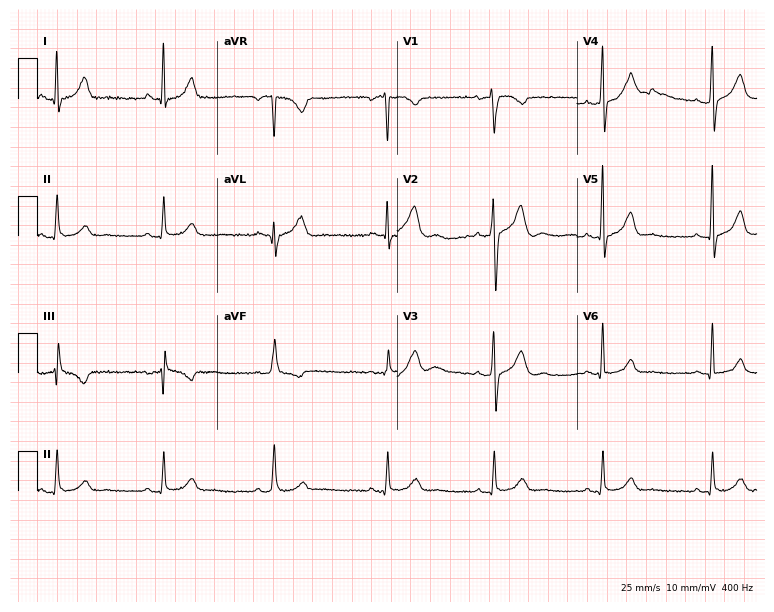
12-lead ECG (7.3-second recording at 400 Hz) from a 30-year-old man. Labelled as a normal ECG.